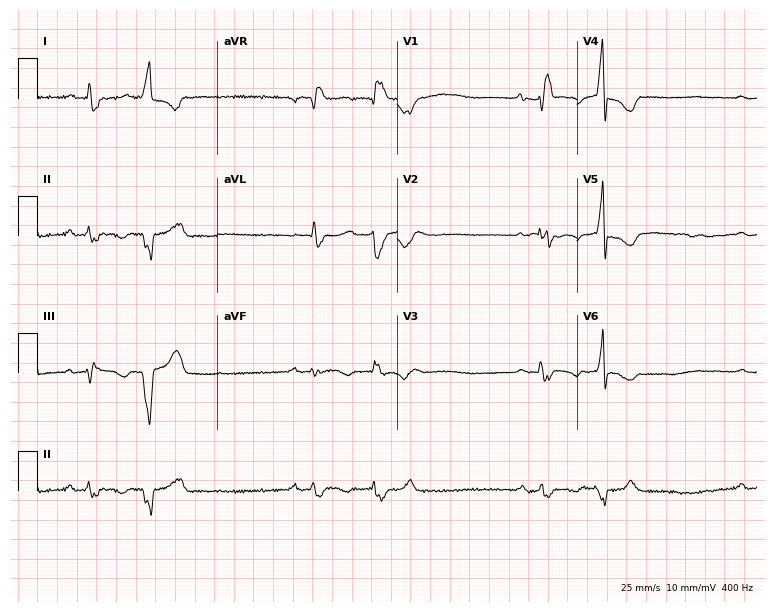
Electrocardiogram, a 52-year-old female. Interpretation includes first-degree AV block, right bundle branch block.